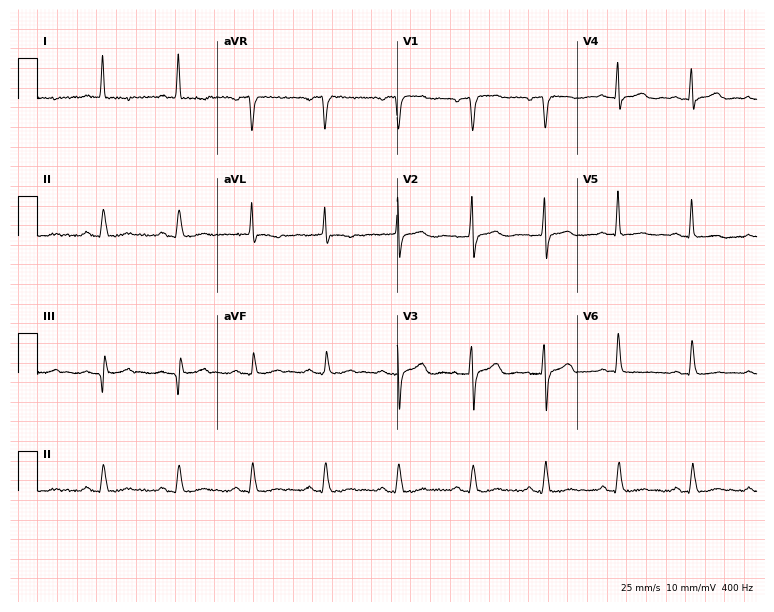
Resting 12-lead electrocardiogram (7.3-second recording at 400 Hz). Patient: a 67-year-old male. None of these six findings is recorded: first-degree AV block, right bundle branch block, left bundle branch block, sinus bradycardia, atrial fibrillation, sinus tachycardia.